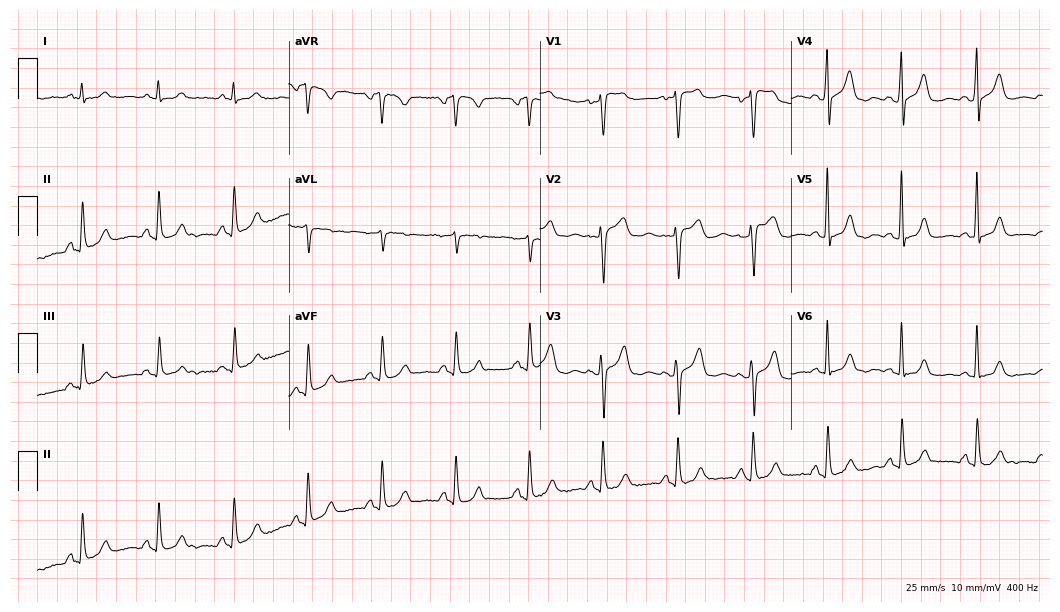
12-lead ECG from a female, 52 years old (10.2-second recording at 400 Hz). No first-degree AV block, right bundle branch block, left bundle branch block, sinus bradycardia, atrial fibrillation or sinus tachycardia recorded for this tracing.